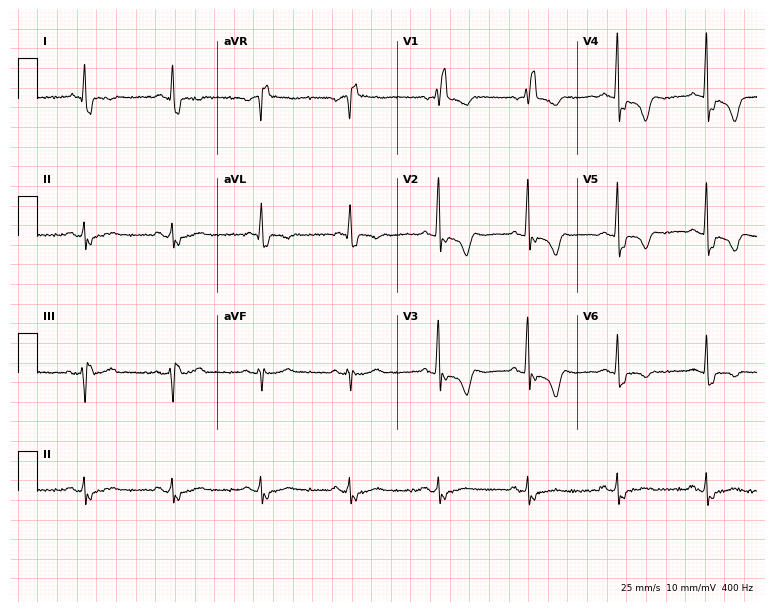
12-lead ECG from a male, 71 years old (7.3-second recording at 400 Hz). Shows right bundle branch block.